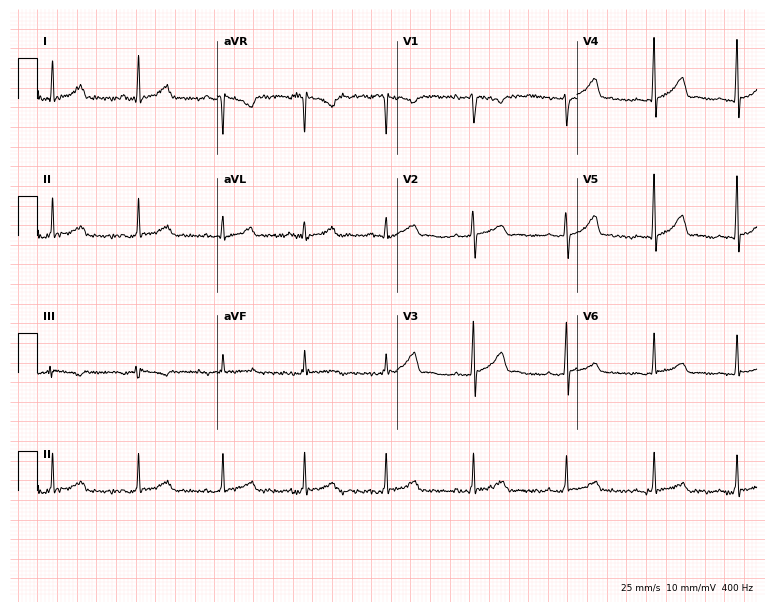
12-lead ECG (7.3-second recording at 400 Hz) from a 38-year-old woman. Labelled as a normal ECG.